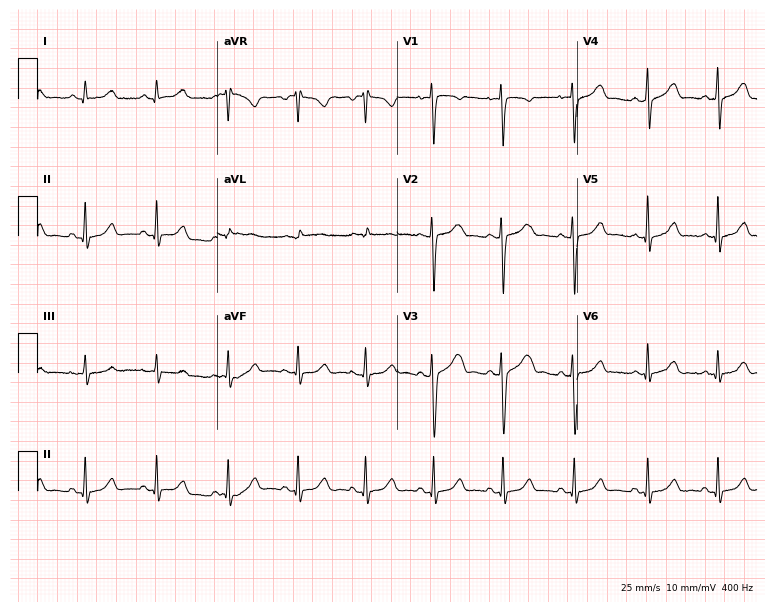
ECG (7.3-second recording at 400 Hz) — a female patient, 38 years old. Screened for six findings — first-degree AV block, right bundle branch block, left bundle branch block, sinus bradycardia, atrial fibrillation, sinus tachycardia — none is recorded. Only these six findings were labelled.